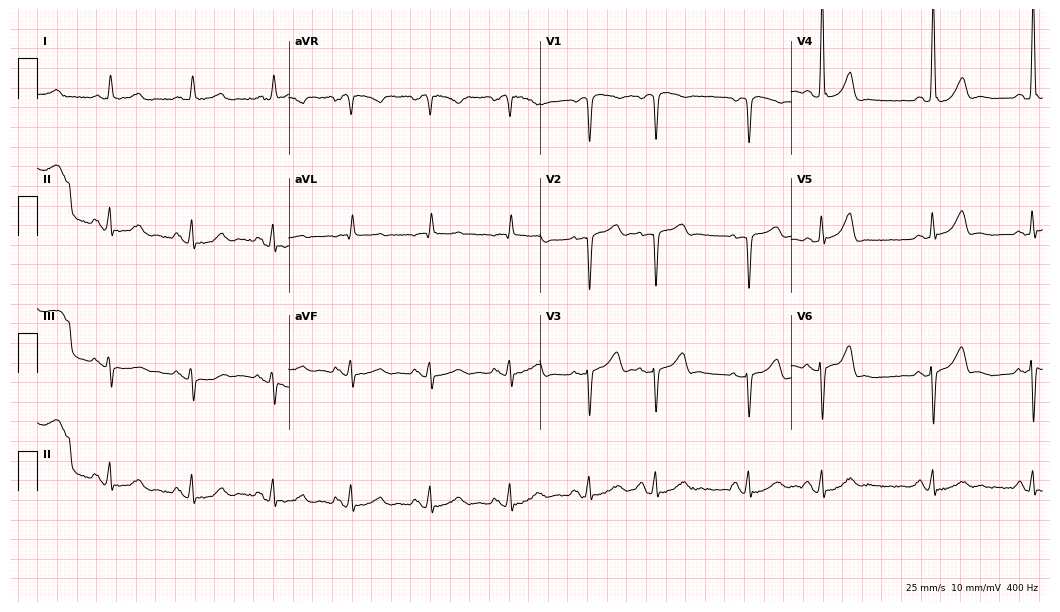
Electrocardiogram (10.2-second recording at 400 Hz), a male patient, 83 years old. Of the six screened findings (first-degree AV block, right bundle branch block (RBBB), left bundle branch block (LBBB), sinus bradycardia, atrial fibrillation (AF), sinus tachycardia), none is recorded.